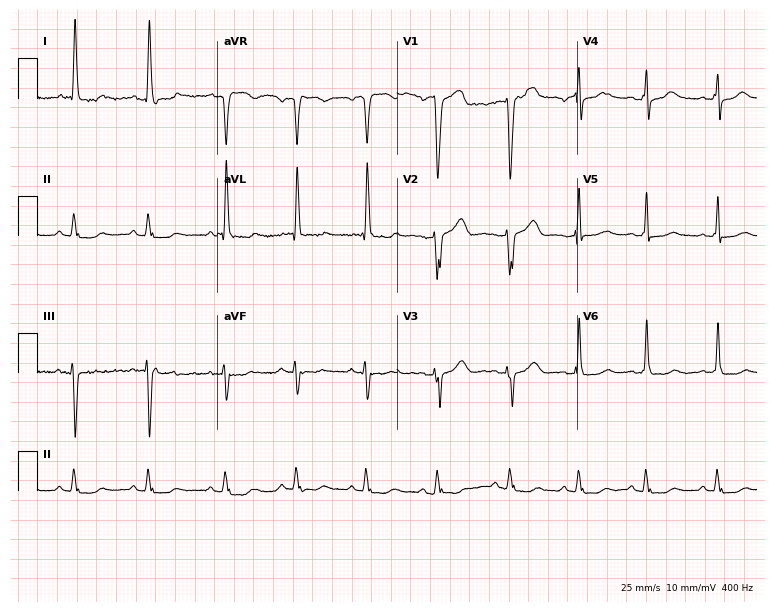
Standard 12-lead ECG recorded from a male patient, 60 years old. None of these six findings is recorded: first-degree AV block, right bundle branch block, left bundle branch block, sinus bradycardia, atrial fibrillation, sinus tachycardia. Only these six findings were labelled.